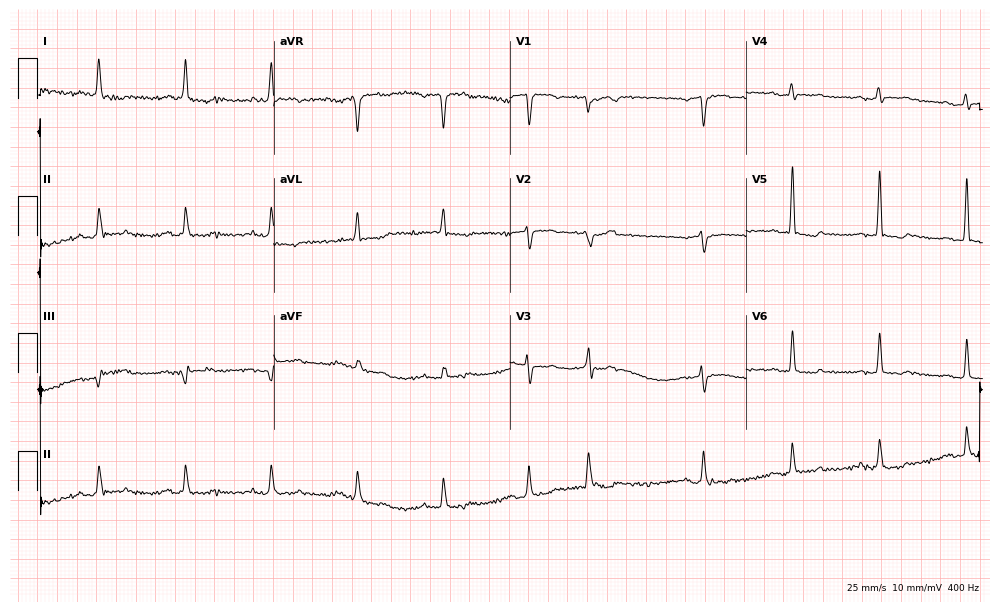
Standard 12-lead ECG recorded from a woman, 84 years old. None of these six findings is recorded: first-degree AV block, right bundle branch block, left bundle branch block, sinus bradycardia, atrial fibrillation, sinus tachycardia. Findings outside these six are not listed.